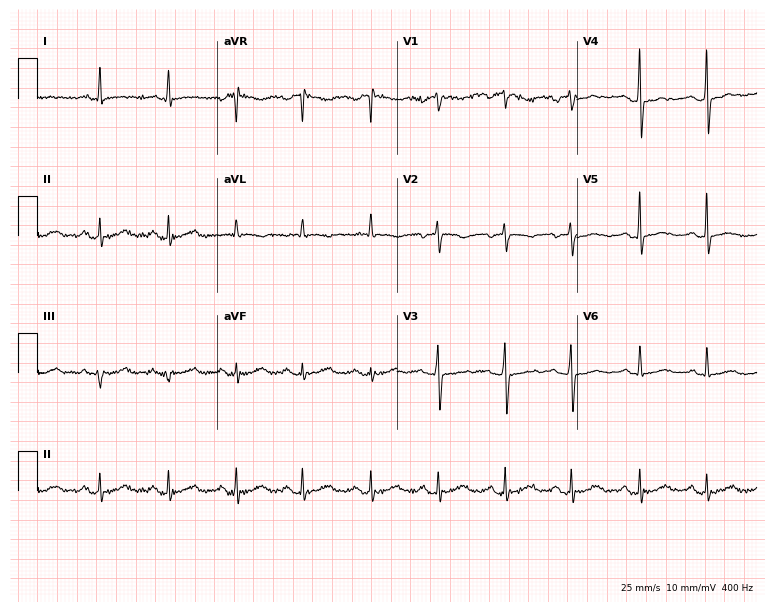
Resting 12-lead electrocardiogram. Patient: a 70-year-old woman. None of these six findings is recorded: first-degree AV block, right bundle branch block, left bundle branch block, sinus bradycardia, atrial fibrillation, sinus tachycardia. Findings outside these six are not listed.